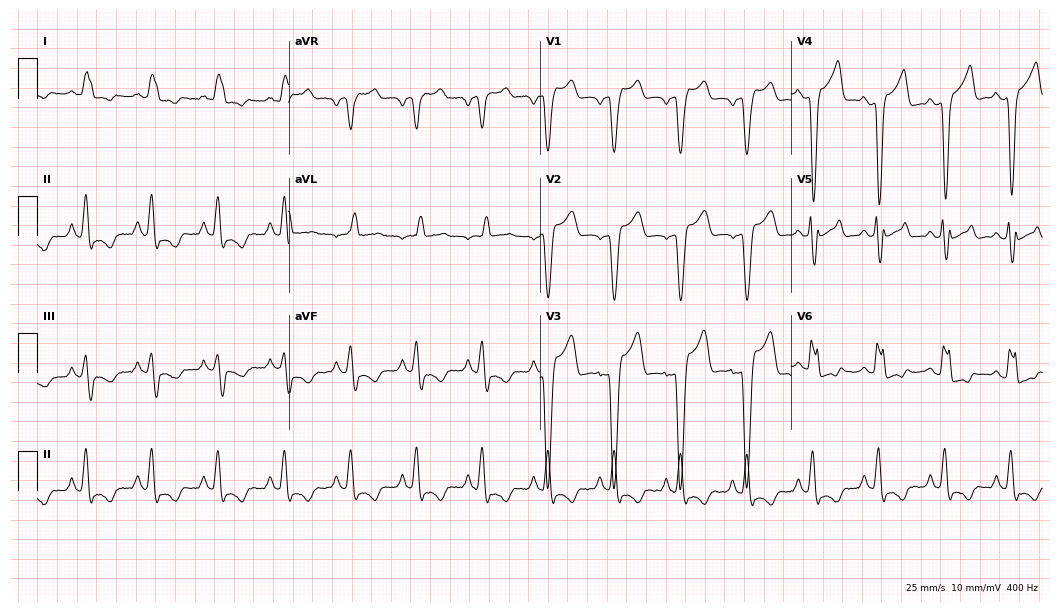
Resting 12-lead electrocardiogram (10.2-second recording at 400 Hz). Patient: a male, 75 years old. The tracing shows left bundle branch block.